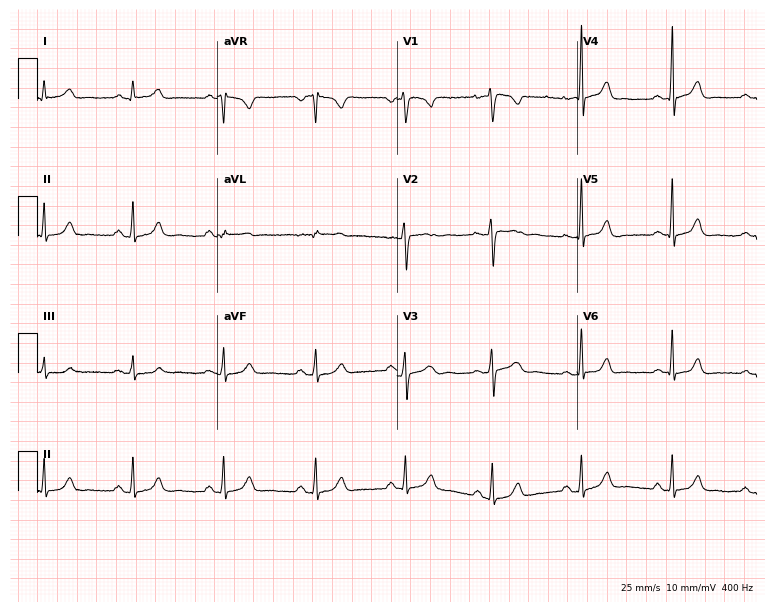
12-lead ECG from a 40-year-old female patient (7.3-second recording at 400 Hz). Recorded interpretation: within normal limits.